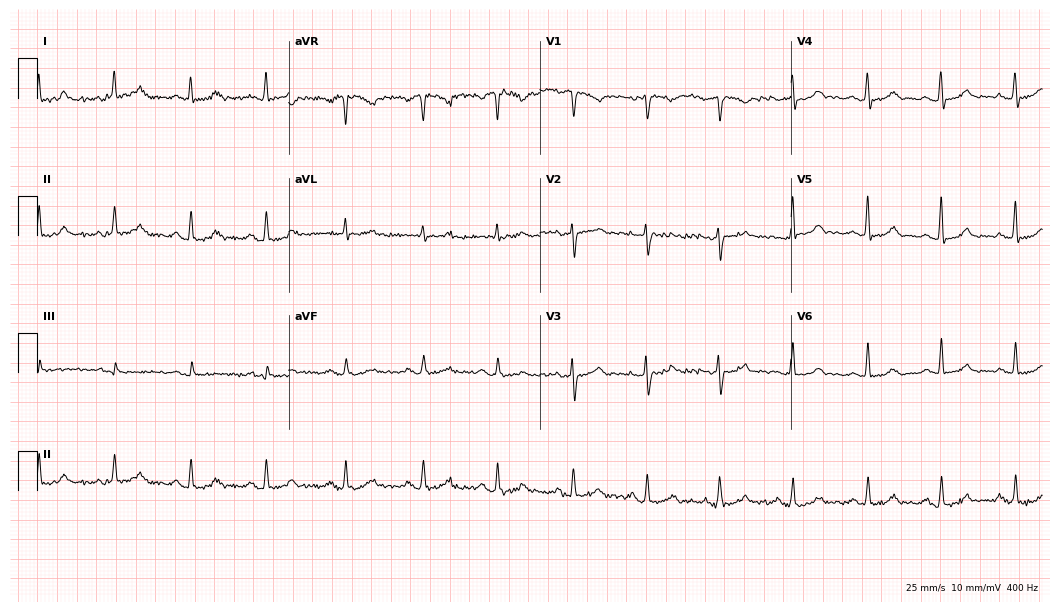
Resting 12-lead electrocardiogram (10.2-second recording at 400 Hz). Patient: a 44-year-old female. Read as a normal ECG.